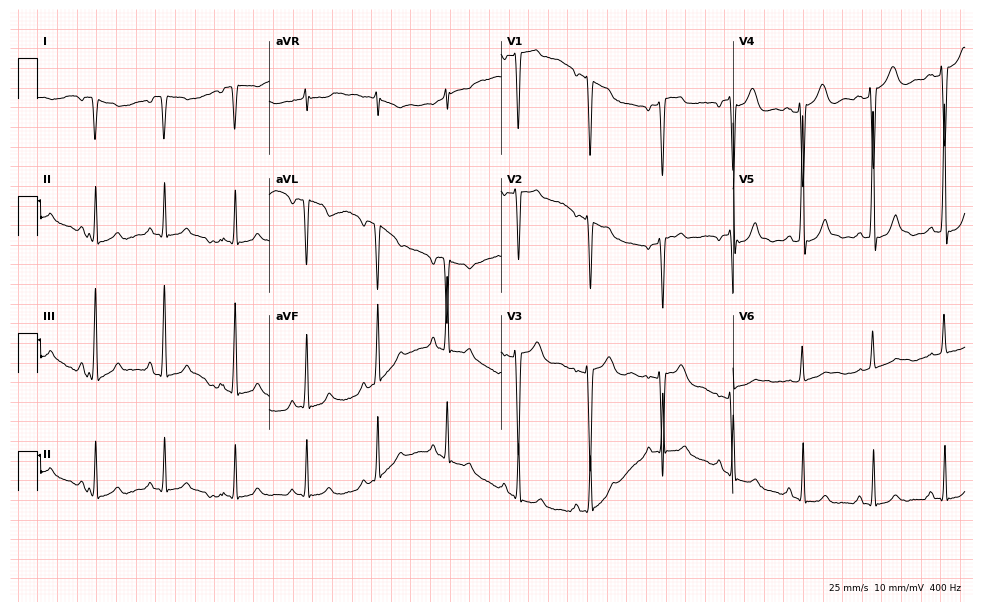
Electrocardiogram (9.5-second recording at 400 Hz), a 33-year-old female. Of the six screened findings (first-degree AV block, right bundle branch block, left bundle branch block, sinus bradycardia, atrial fibrillation, sinus tachycardia), none is recorded.